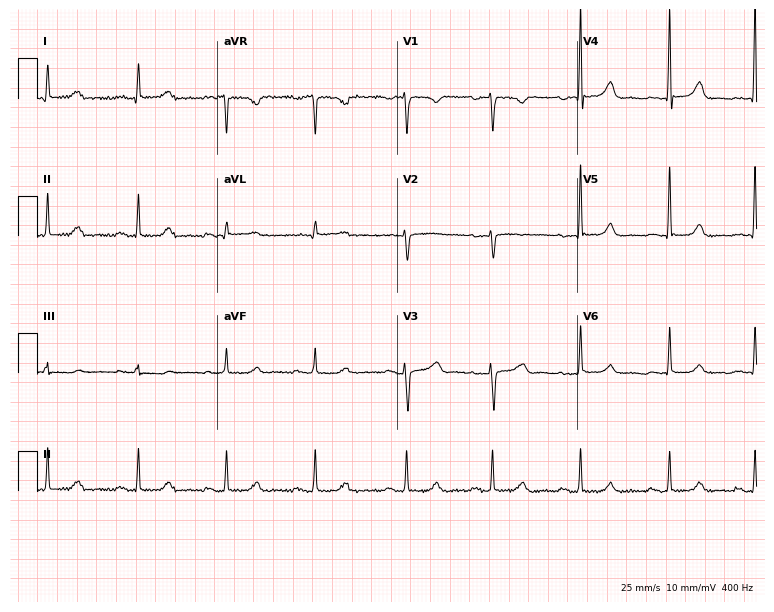
Resting 12-lead electrocardiogram. Patient: a woman, 42 years old. Read as a normal ECG.